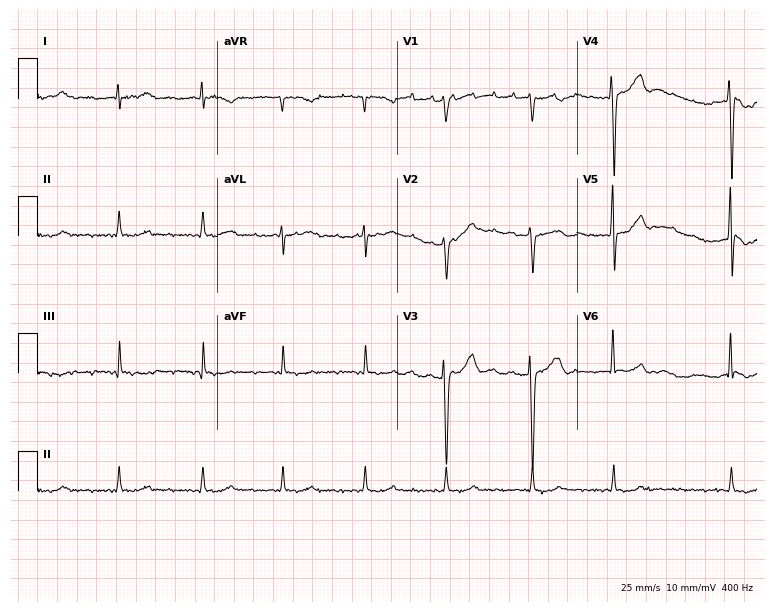
12-lead ECG from a 73-year-old male patient (7.3-second recording at 400 Hz). Shows atrial fibrillation (AF).